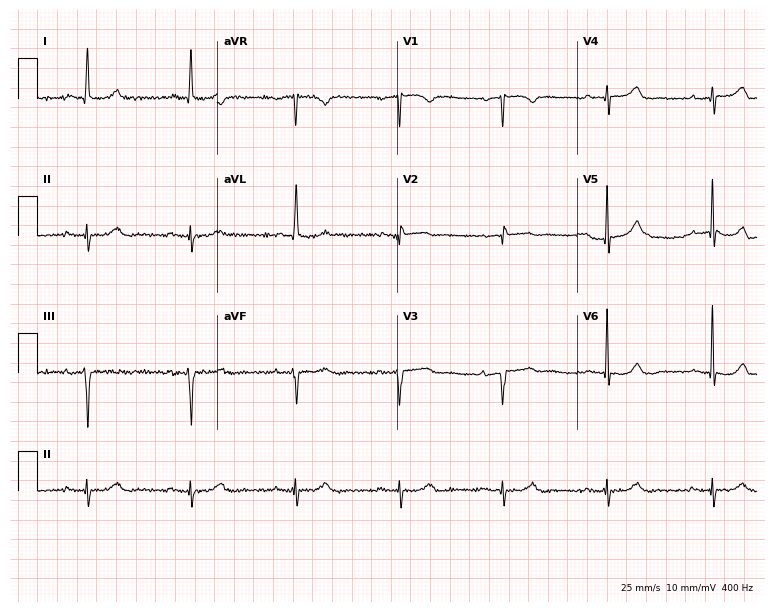
ECG (7.3-second recording at 400 Hz) — an 84-year-old female. Screened for six findings — first-degree AV block, right bundle branch block (RBBB), left bundle branch block (LBBB), sinus bradycardia, atrial fibrillation (AF), sinus tachycardia — none is recorded.